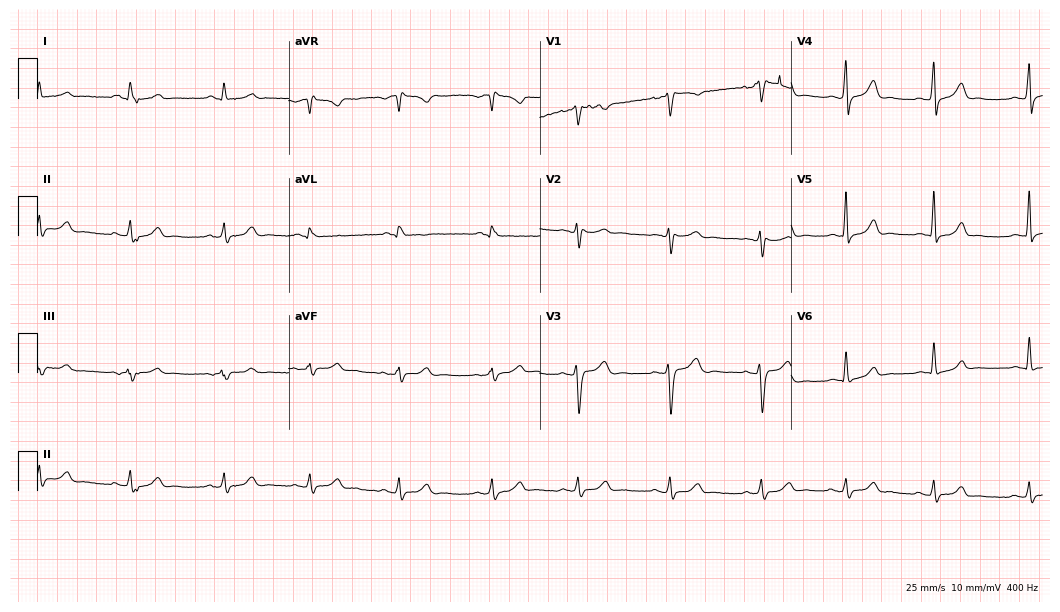
Standard 12-lead ECG recorded from a female patient, 32 years old. None of these six findings is recorded: first-degree AV block, right bundle branch block, left bundle branch block, sinus bradycardia, atrial fibrillation, sinus tachycardia. Findings outside these six are not listed.